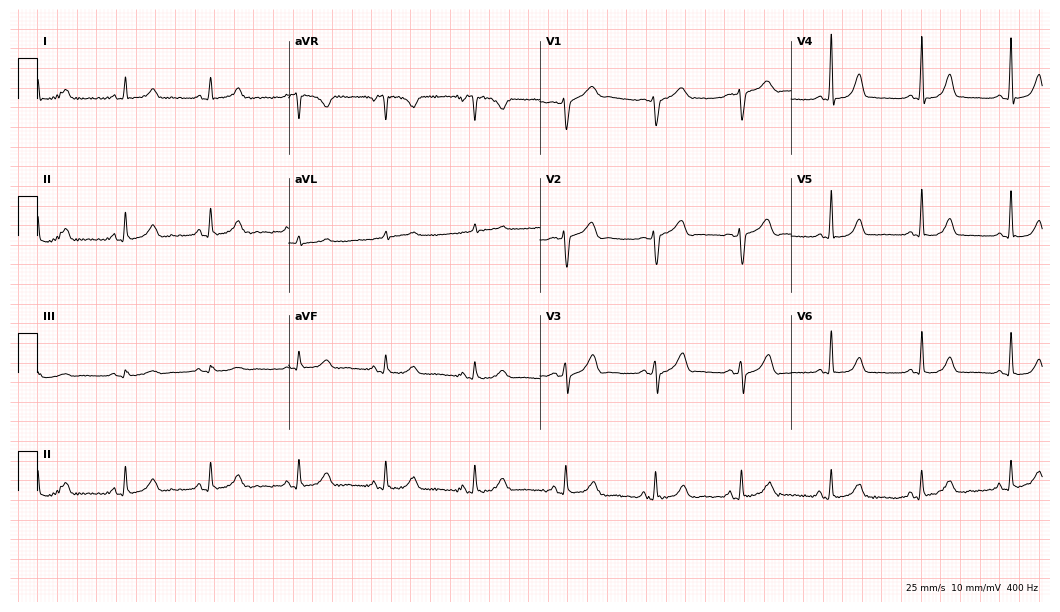
Electrocardiogram, a woman, 61 years old. Overall reading on record: normal ECG.